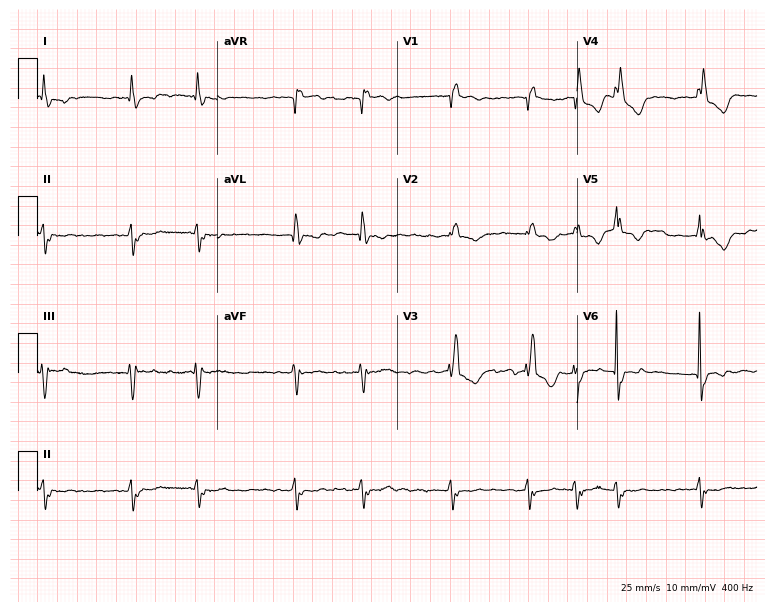
ECG (7.3-second recording at 400 Hz) — a woman, 74 years old. Findings include right bundle branch block (RBBB), atrial fibrillation (AF).